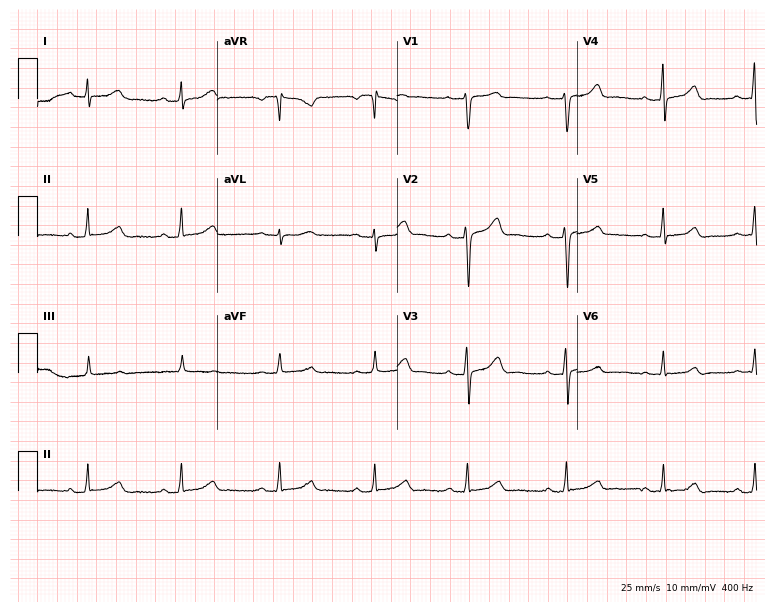
Standard 12-lead ECG recorded from a female, 32 years old. Read as a normal ECG.